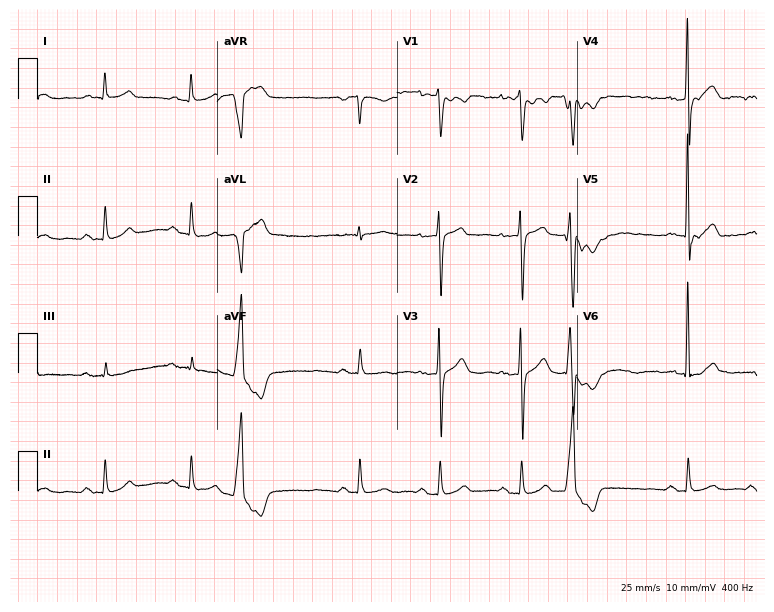
Electrocardiogram, a male, 60 years old. Of the six screened findings (first-degree AV block, right bundle branch block, left bundle branch block, sinus bradycardia, atrial fibrillation, sinus tachycardia), none is recorded. Findings outside these six are not listed.